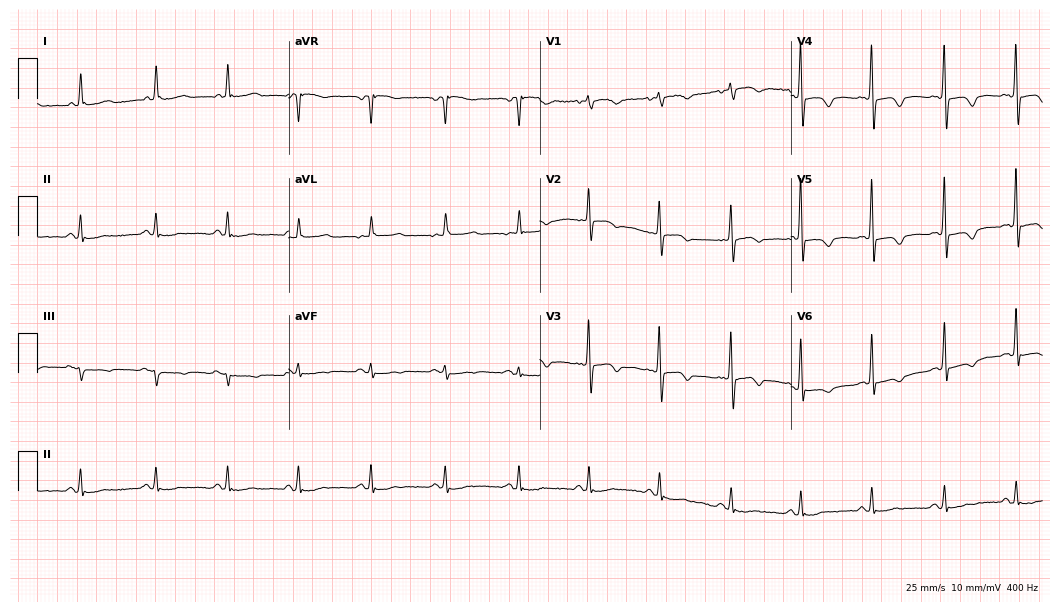
Electrocardiogram (10.2-second recording at 400 Hz), a woman, 73 years old. Of the six screened findings (first-degree AV block, right bundle branch block, left bundle branch block, sinus bradycardia, atrial fibrillation, sinus tachycardia), none is recorded.